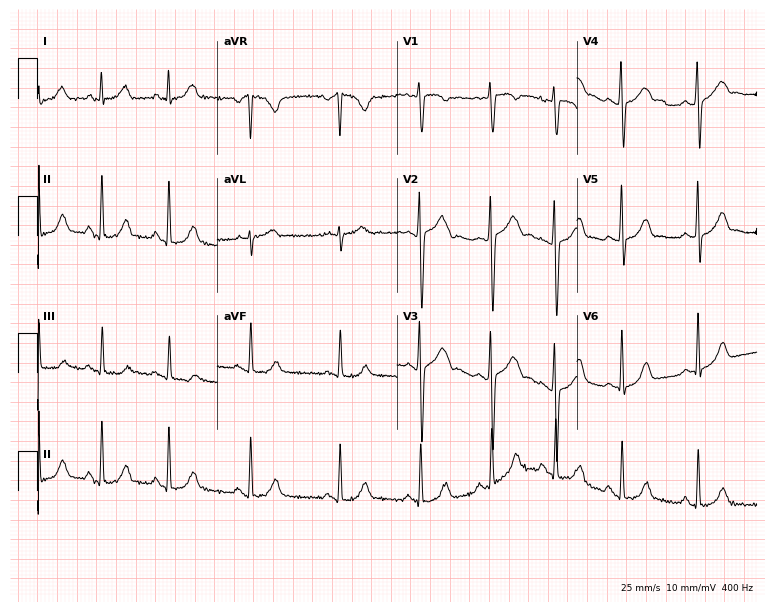
Electrocardiogram, a 26-year-old female. Of the six screened findings (first-degree AV block, right bundle branch block, left bundle branch block, sinus bradycardia, atrial fibrillation, sinus tachycardia), none is recorded.